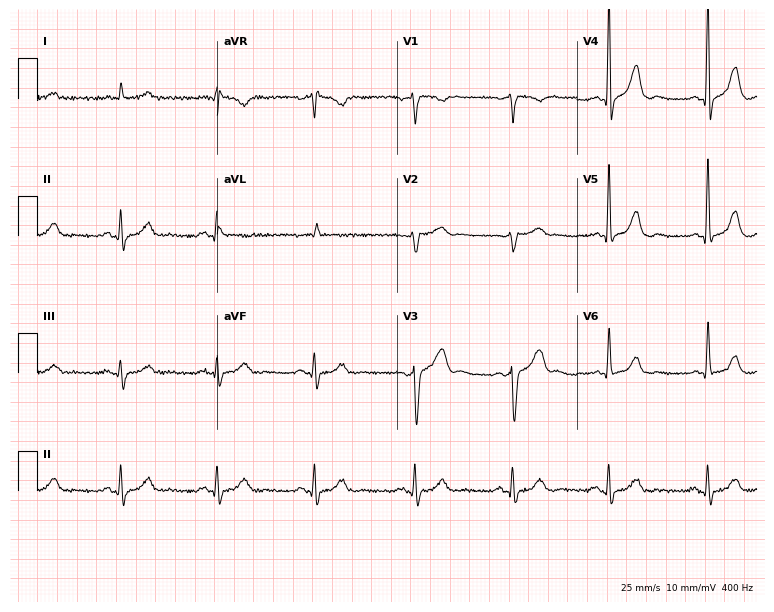
Resting 12-lead electrocardiogram (7.3-second recording at 400 Hz). Patient: a male, 60 years old. None of these six findings is recorded: first-degree AV block, right bundle branch block, left bundle branch block, sinus bradycardia, atrial fibrillation, sinus tachycardia. Other findings, if any, are not listed.